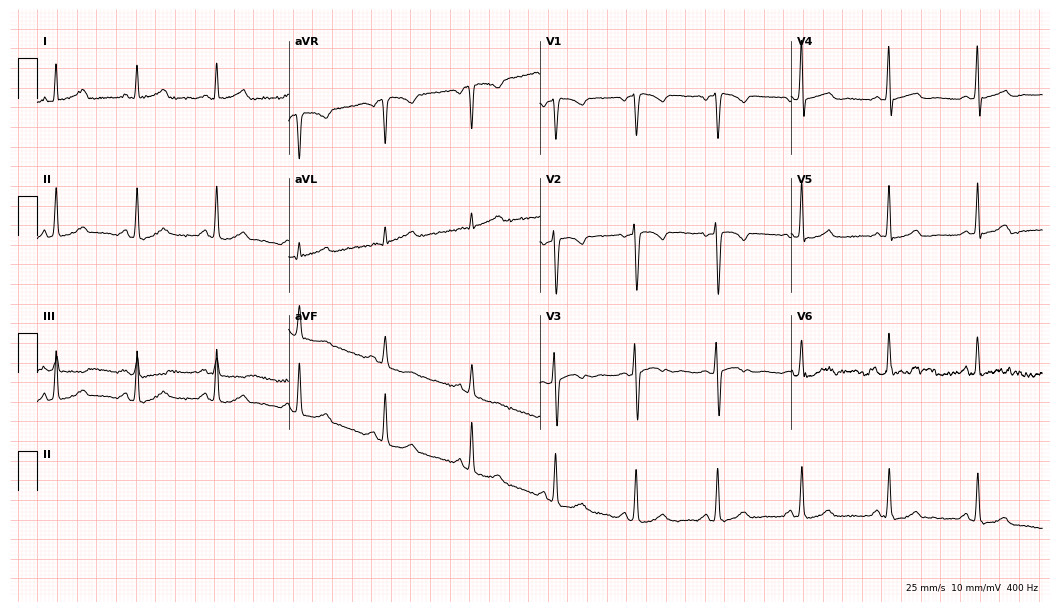
12-lead ECG from a female, 44 years old. No first-degree AV block, right bundle branch block, left bundle branch block, sinus bradycardia, atrial fibrillation or sinus tachycardia recorded for this tracing.